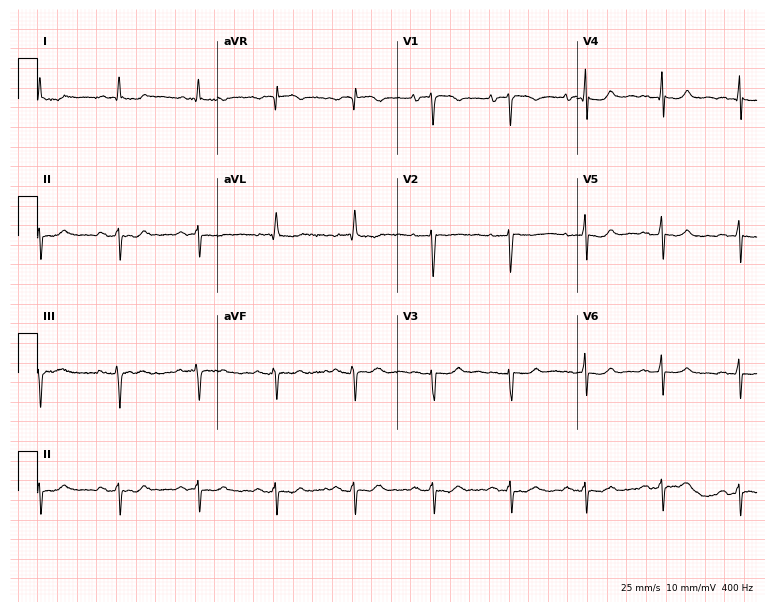
Electrocardiogram, an 83-year-old female patient. Of the six screened findings (first-degree AV block, right bundle branch block (RBBB), left bundle branch block (LBBB), sinus bradycardia, atrial fibrillation (AF), sinus tachycardia), none is recorded. Other findings, if any, are not listed.